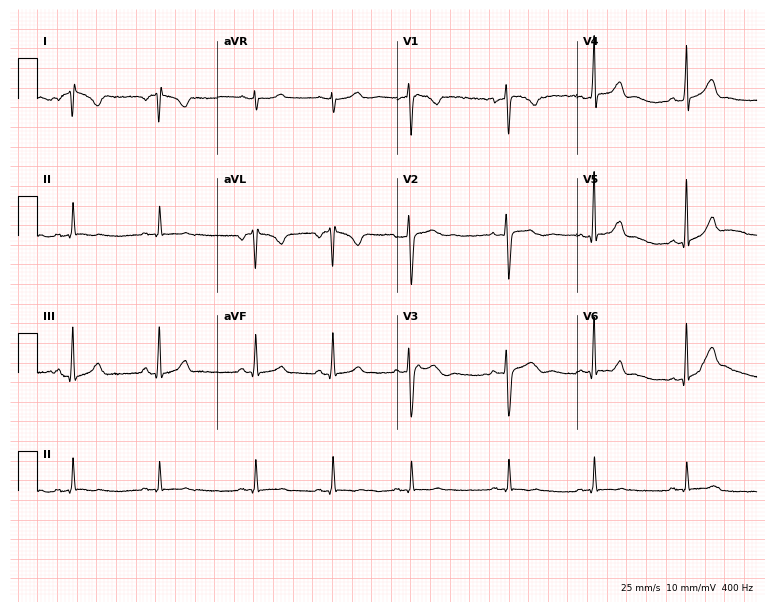
12-lead ECG from a woman, 20 years old (7.3-second recording at 400 Hz). No first-degree AV block, right bundle branch block (RBBB), left bundle branch block (LBBB), sinus bradycardia, atrial fibrillation (AF) or sinus tachycardia recorded for this tracing. Only these six findings were labelled.